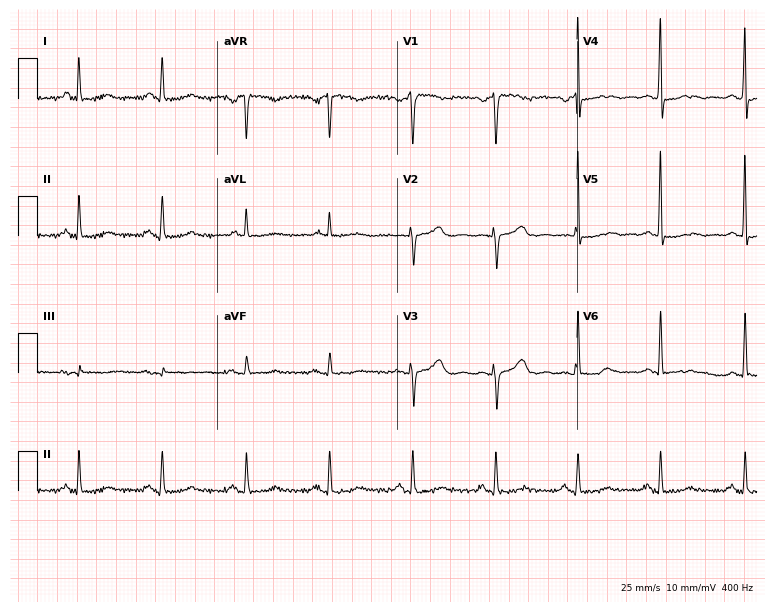
ECG — a 50-year-old female patient. Screened for six findings — first-degree AV block, right bundle branch block, left bundle branch block, sinus bradycardia, atrial fibrillation, sinus tachycardia — none is recorded. Findings outside these six are not listed.